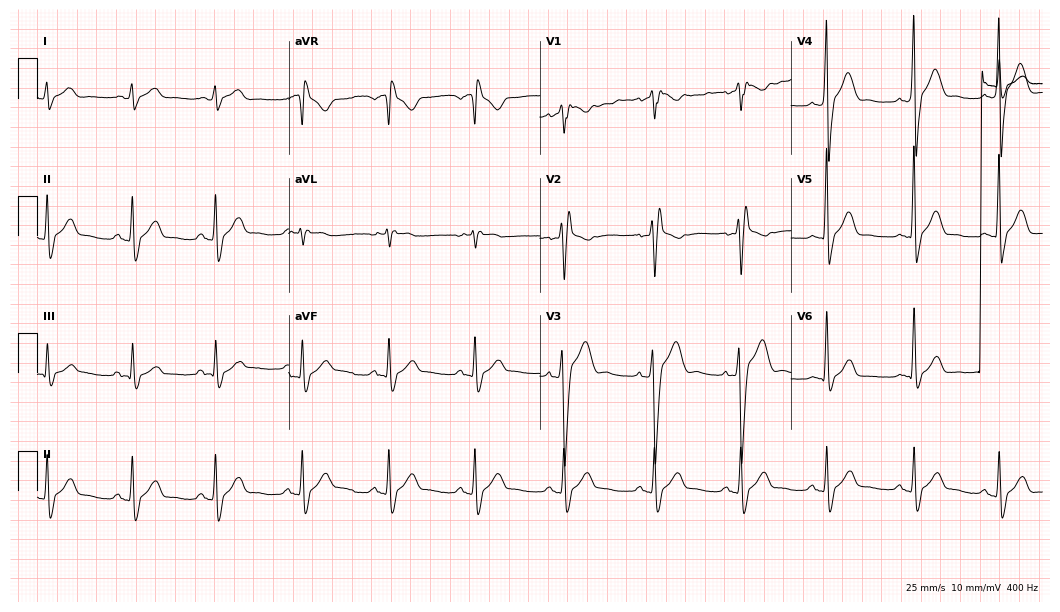
12-lead ECG from a male, 25 years old. Findings include right bundle branch block (RBBB).